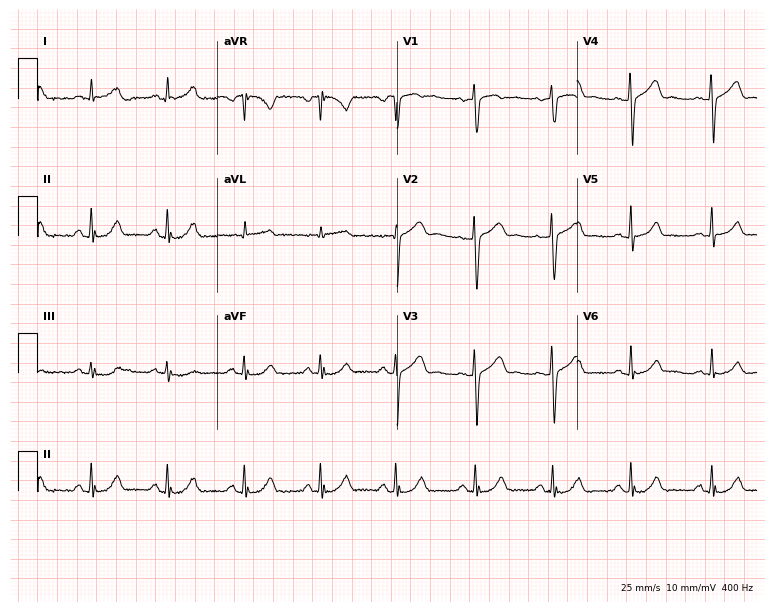
Standard 12-lead ECG recorded from a woman, 42 years old. None of these six findings is recorded: first-degree AV block, right bundle branch block (RBBB), left bundle branch block (LBBB), sinus bradycardia, atrial fibrillation (AF), sinus tachycardia. Findings outside these six are not listed.